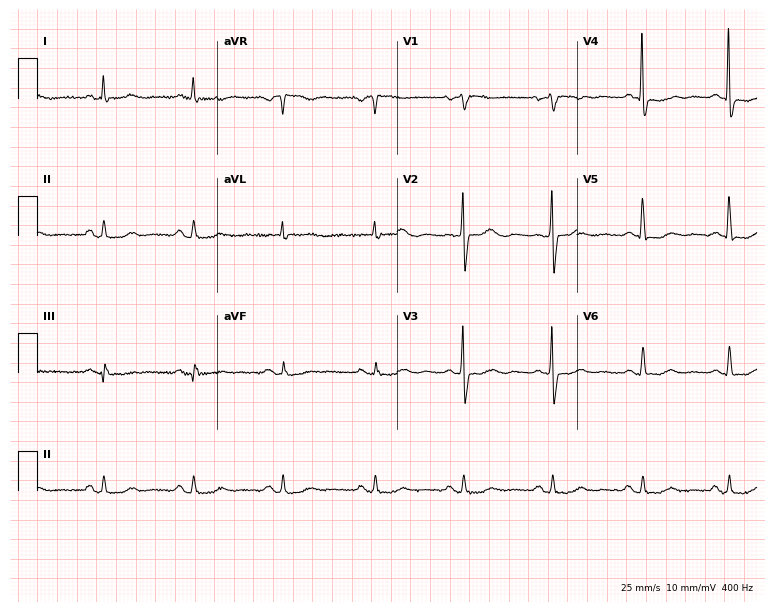
Standard 12-lead ECG recorded from a 74-year-old female patient (7.3-second recording at 400 Hz). None of these six findings is recorded: first-degree AV block, right bundle branch block, left bundle branch block, sinus bradycardia, atrial fibrillation, sinus tachycardia.